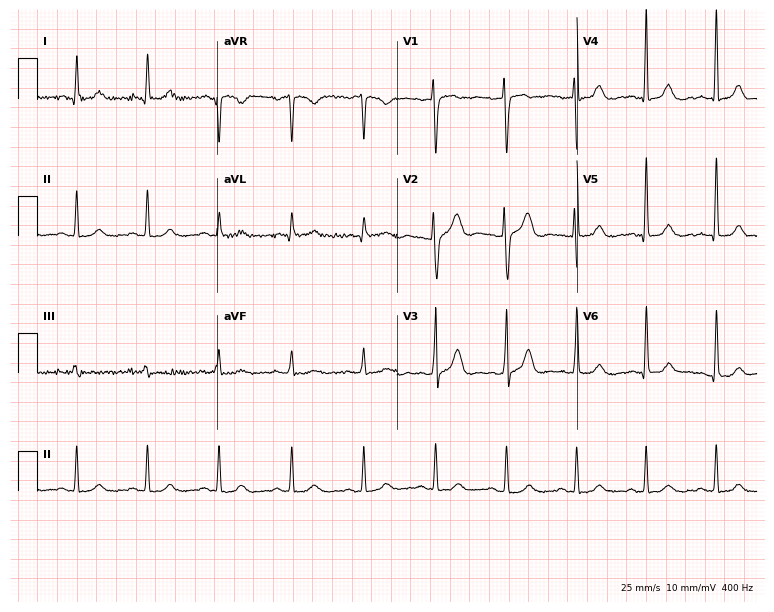
Electrocardiogram (7.3-second recording at 400 Hz), a woman, 39 years old. Overall reading on record: normal ECG.